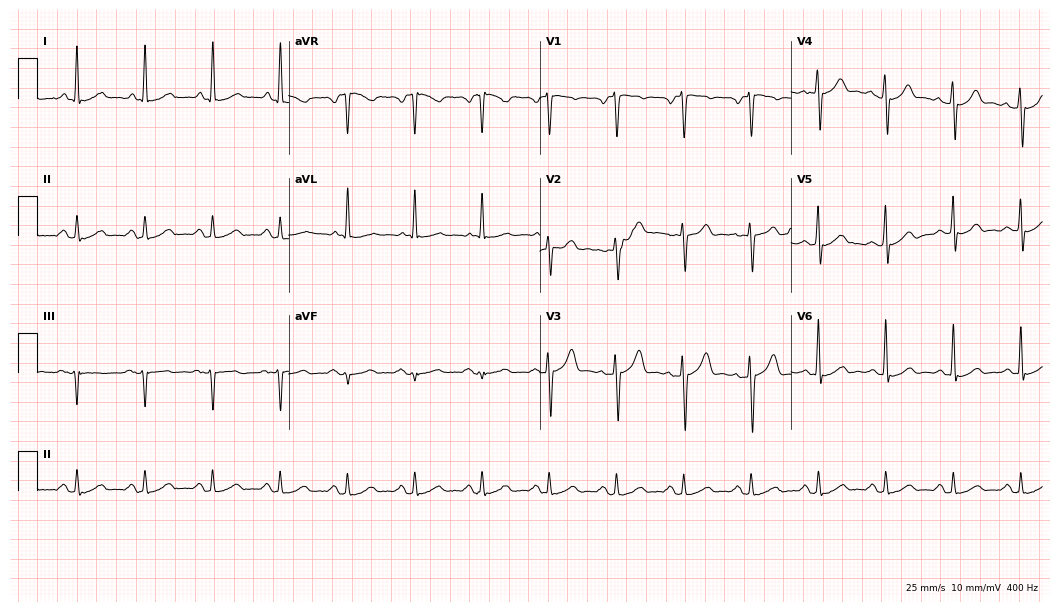
Standard 12-lead ECG recorded from a male, 63 years old. Read as a normal ECG.